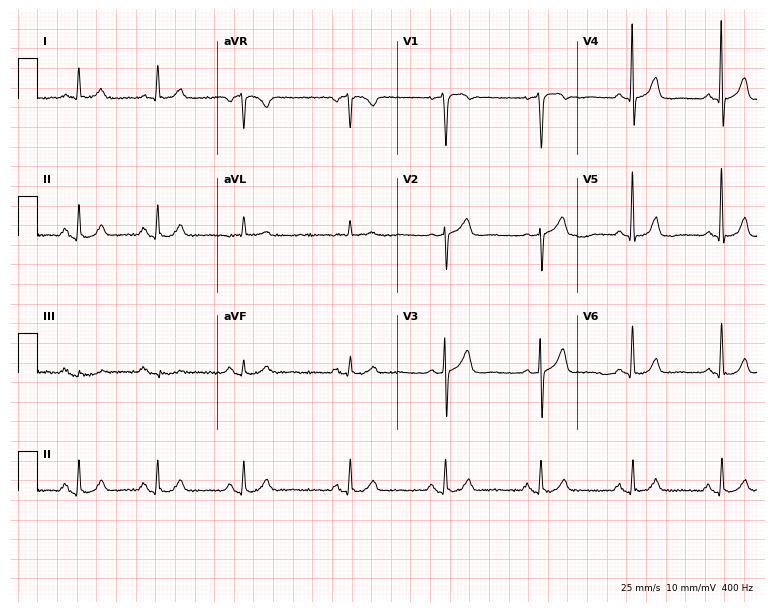
12-lead ECG from a 56-year-old man (7.3-second recording at 400 Hz). No first-degree AV block, right bundle branch block, left bundle branch block, sinus bradycardia, atrial fibrillation or sinus tachycardia recorded for this tracing. Only these six findings were labelled.